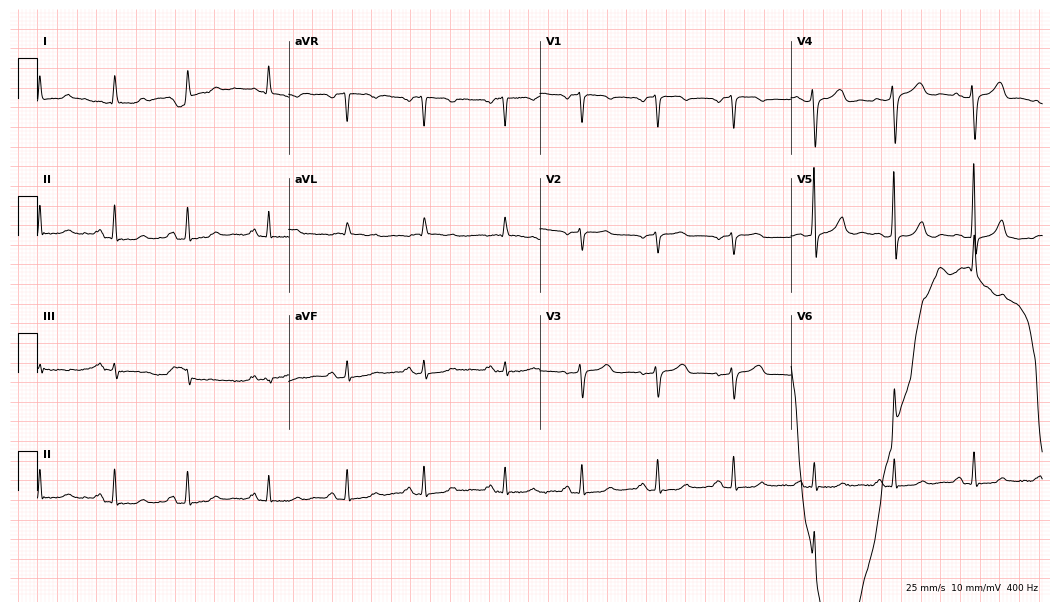
Electrocardiogram (10.2-second recording at 400 Hz), an 82-year-old woman. Overall reading on record: normal ECG.